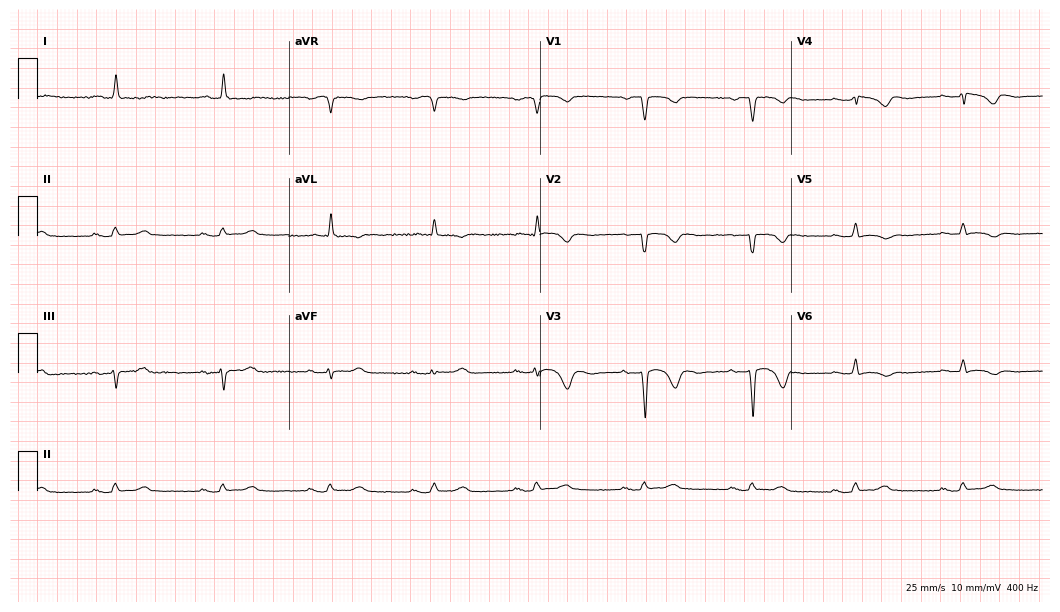
ECG — a female, 81 years old. Screened for six findings — first-degree AV block, right bundle branch block, left bundle branch block, sinus bradycardia, atrial fibrillation, sinus tachycardia — none is recorded.